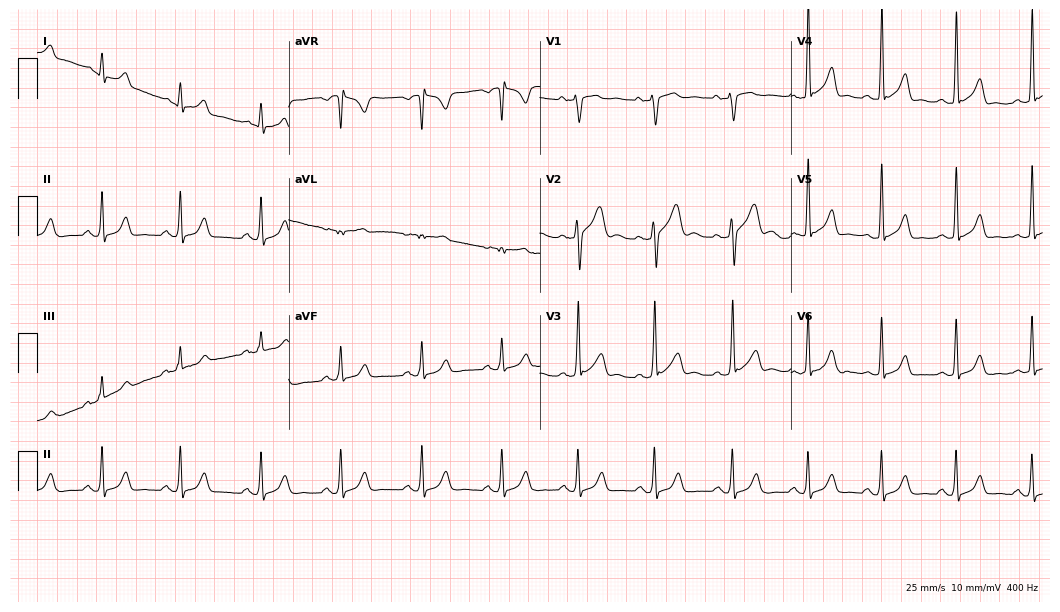
12-lead ECG from a male, 31 years old. Recorded interpretation: within normal limits.